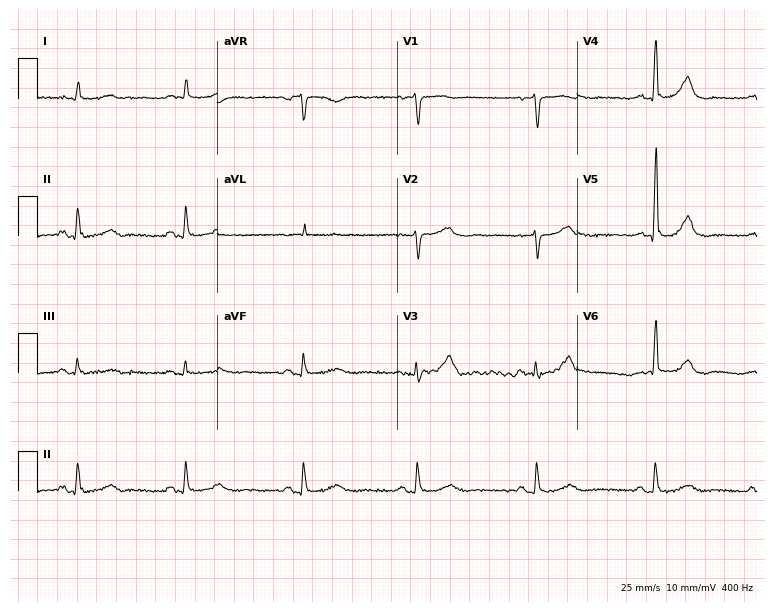
Resting 12-lead electrocardiogram (7.3-second recording at 400 Hz). Patient: an 83-year-old male. None of these six findings is recorded: first-degree AV block, right bundle branch block, left bundle branch block, sinus bradycardia, atrial fibrillation, sinus tachycardia.